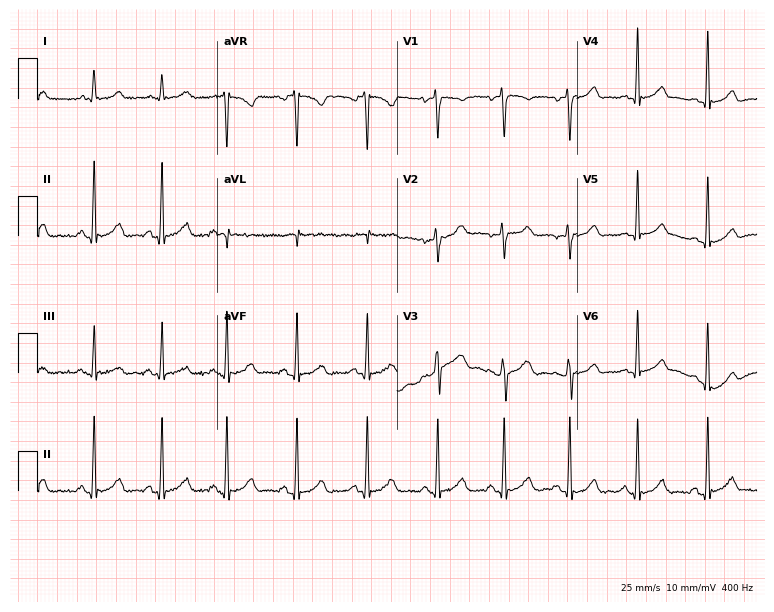
Electrocardiogram, a 17-year-old woman. Overall reading on record: normal ECG.